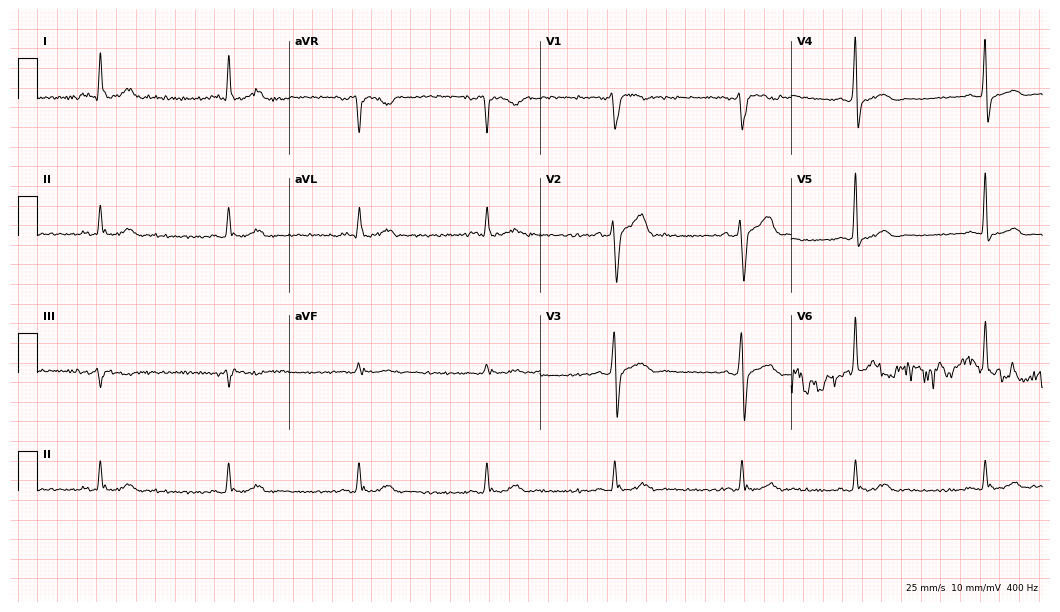
Standard 12-lead ECG recorded from a 46-year-old male. None of these six findings is recorded: first-degree AV block, right bundle branch block (RBBB), left bundle branch block (LBBB), sinus bradycardia, atrial fibrillation (AF), sinus tachycardia. Other findings, if any, are not listed.